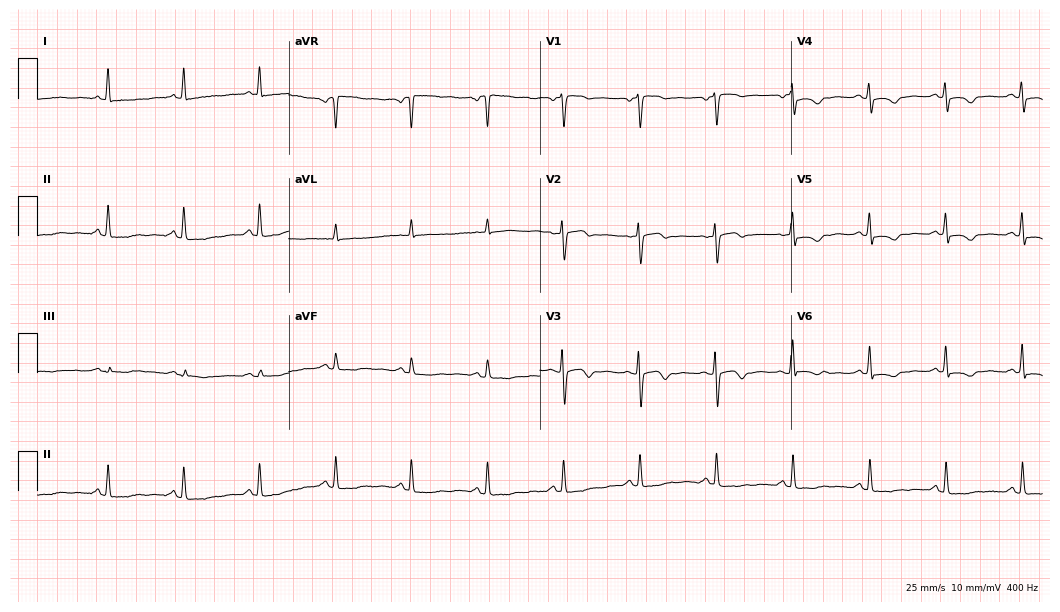
12-lead ECG from a 57-year-old female. Screened for six findings — first-degree AV block, right bundle branch block, left bundle branch block, sinus bradycardia, atrial fibrillation, sinus tachycardia — none is recorded.